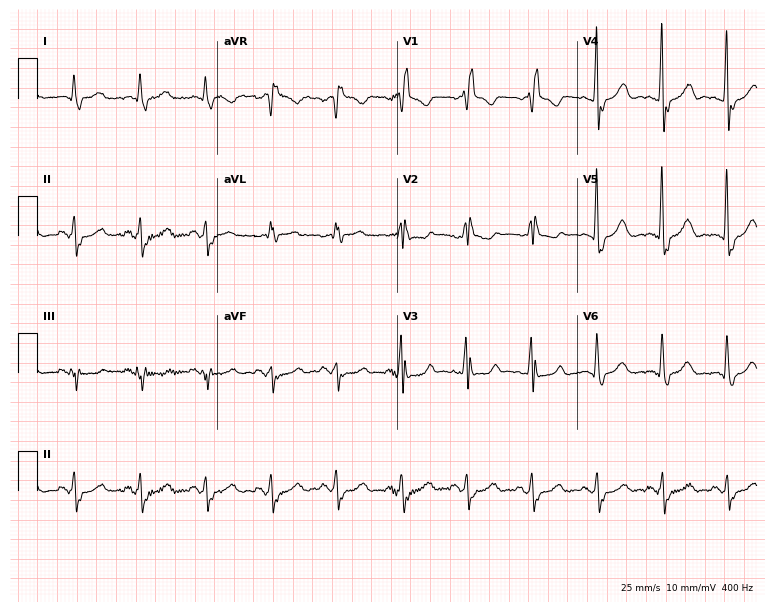
Standard 12-lead ECG recorded from a male, 72 years old. The tracing shows right bundle branch block.